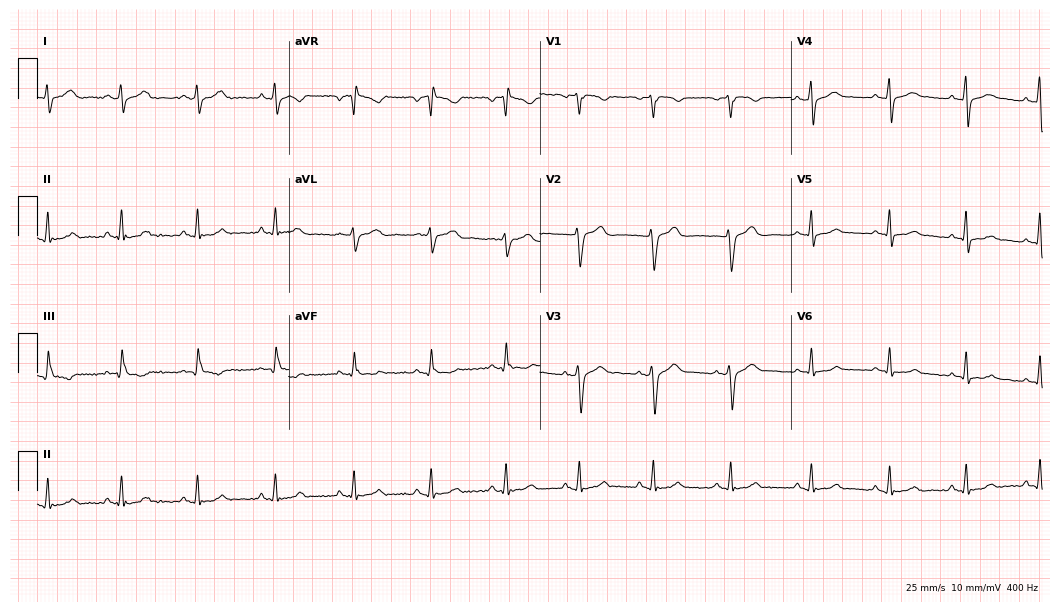
12-lead ECG from a 29-year-old man. Recorded interpretation: within normal limits.